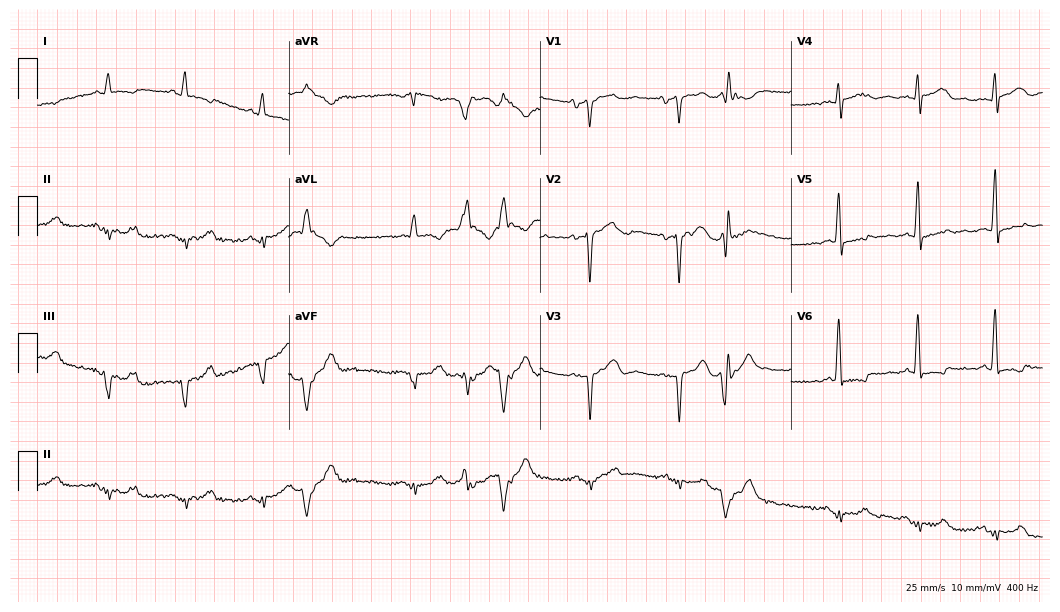
Standard 12-lead ECG recorded from a man, 84 years old. None of these six findings is recorded: first-degree AV block, right bundle branch block, left bundle branch block, sinus bradycardia, atrial fibrillation, sinus tachycardia.